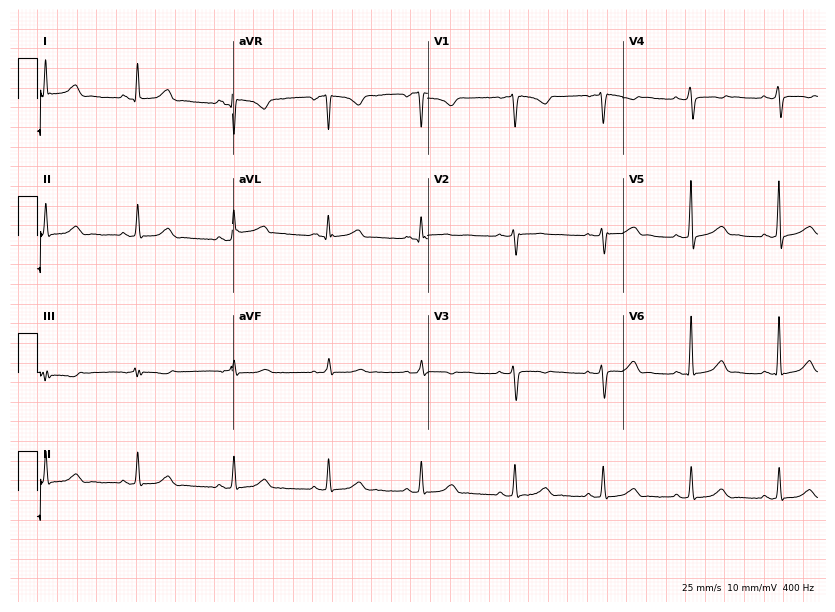
12-lead ECG (8-second recording at 400 Hz) from a woman, 17 years old. Labelled as a normal ECG.